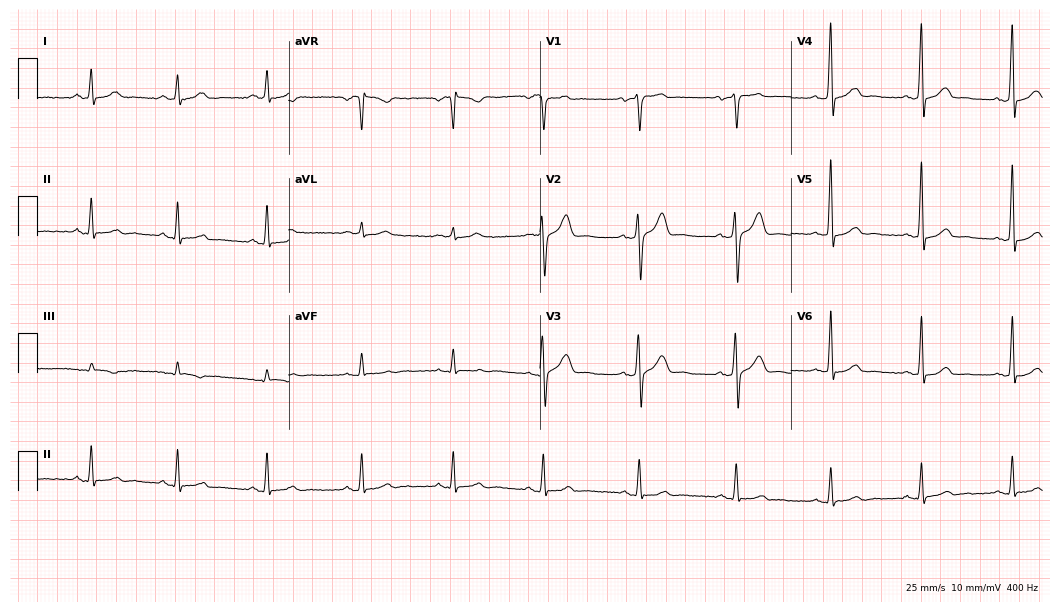
Standard 12-lead ECG recorded from a female patient, 78 years old (10.2-second recording at 400 Hz). Read as a normal ECG.